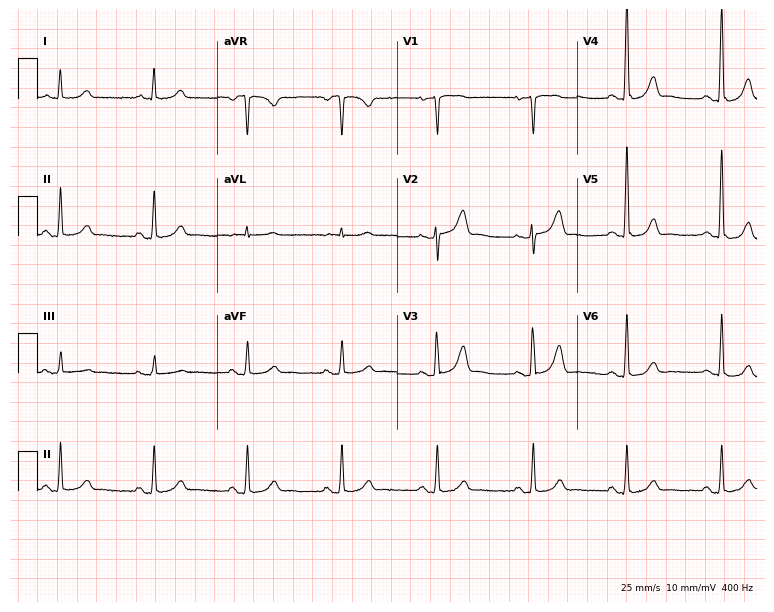
ECG (7.3-second recording at 400 Hz) — a 51-year-old female. Labelled as a normal ECG.